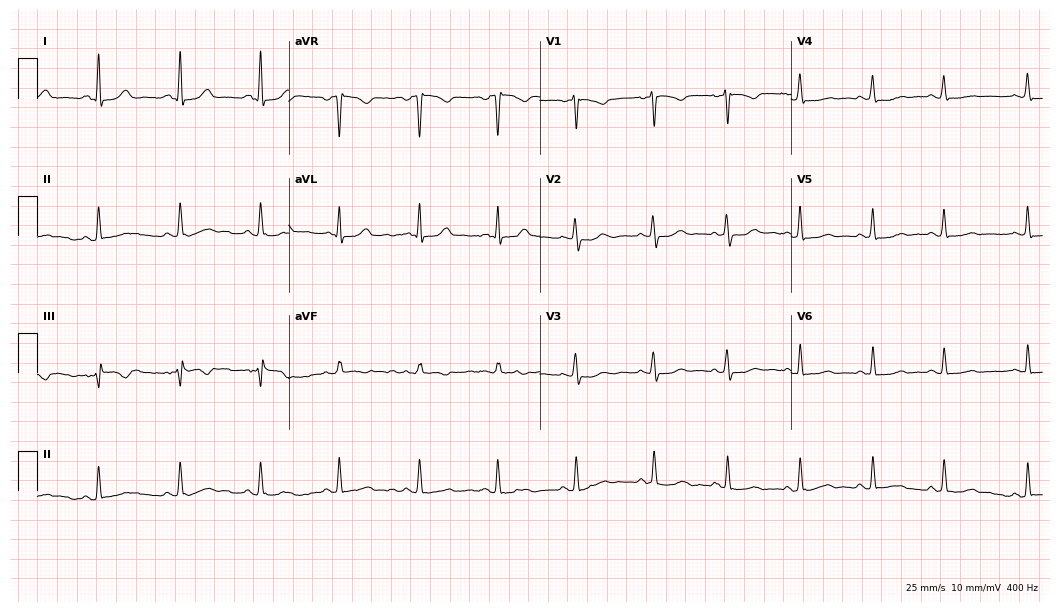
12-lead ECG from a 37-year-old female patient. Screened for six findings — first-degree AV block, right bundle branch block, left bundle branch block, sinus bradycardia, atrial fibrillation, sinus tachycardia — none is recorded.